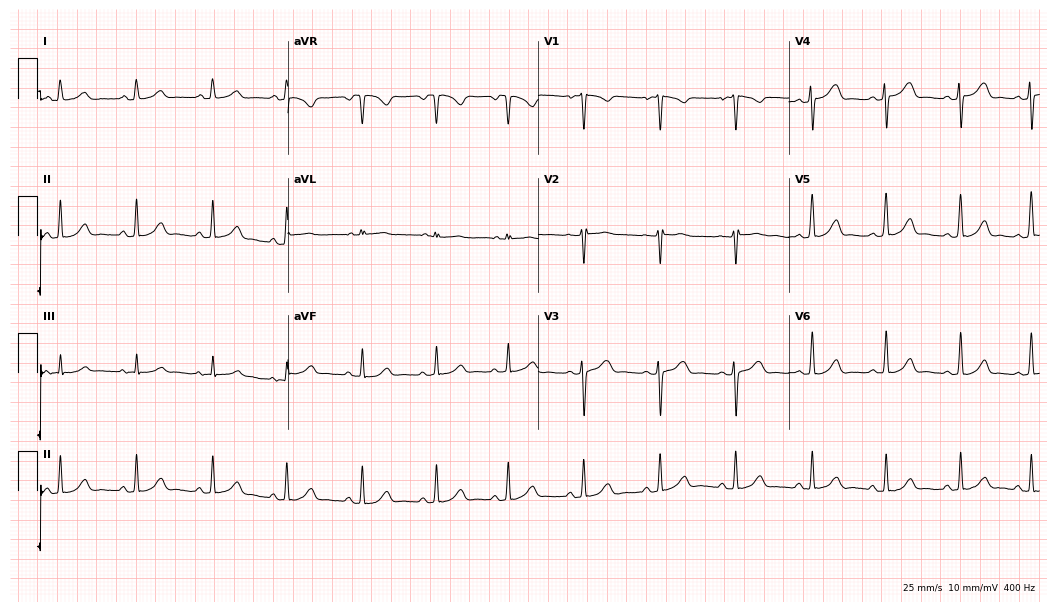
ECG (10.2-second recording at 400 Hz) — a 17-year-old woman. Screened for six findings — first-degree AV block, right bundle branch block, left bundle branch block, sinus bradycardia, atrial fibrillation, sinus tachycardia — none is recorded.